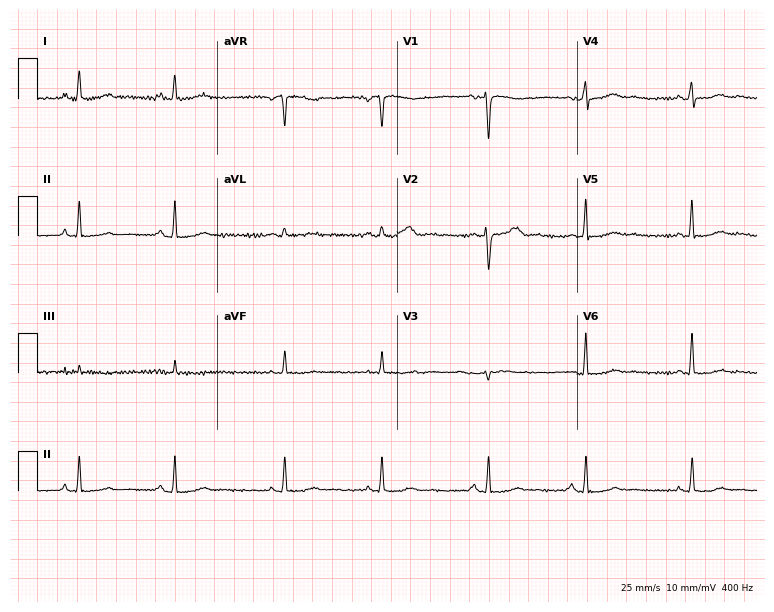
12-lead ECG from a 44-year-old woman. Labelled as a normal ECG.